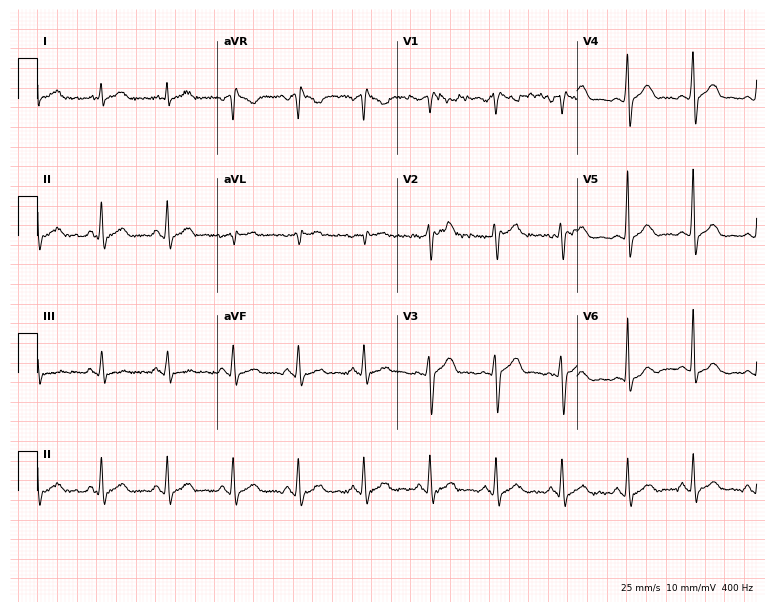
12-lead ECG from a 45-year-old male patient. Recorded interpretation: within normal limits.